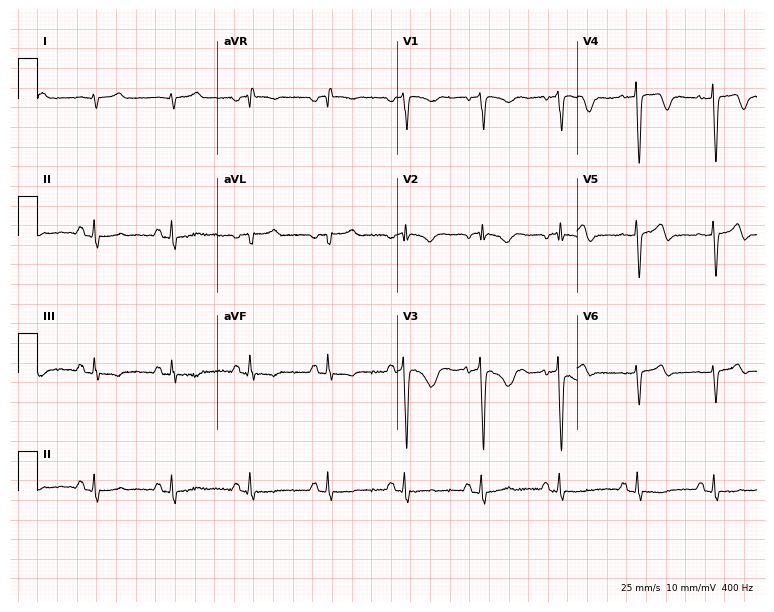
12-lead ECG from a man, 79 years old (7.3-second recording at 400 Hz). No first-degree AV block, right bundle branch block (RBBB), left bundle branch block (LBBB), sinus bradycardia, atrial fibrillation (AF) or sinus tachycardia recorded for this tracing. Only these six findings were labelled.